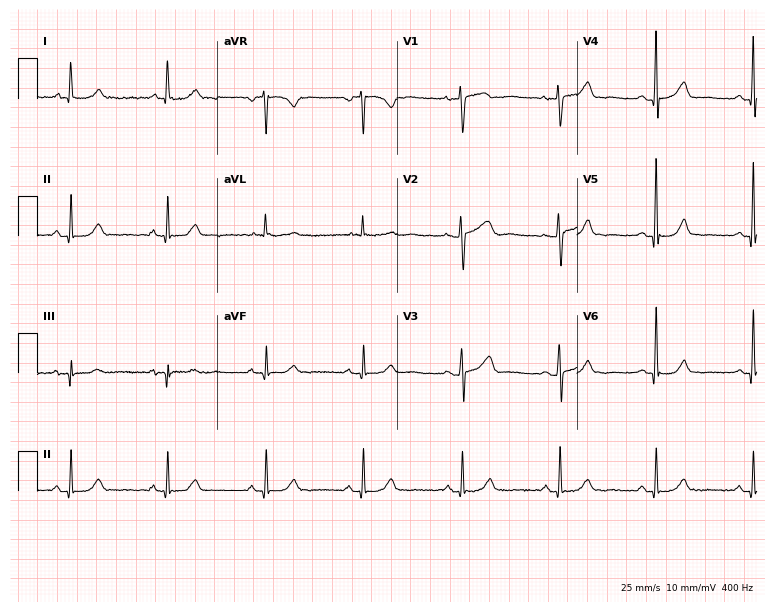
Standard 12-lead ECG recorded from a female, 68 years old (7.3-second recording at 400 Hz). None of these six findings is recorded: first-degree AV block, right bundle branch block (RBBB), left bundle branch block (LBBB), sinus bradycardia, atrial fibrillation (AF), sinus tachycardia.